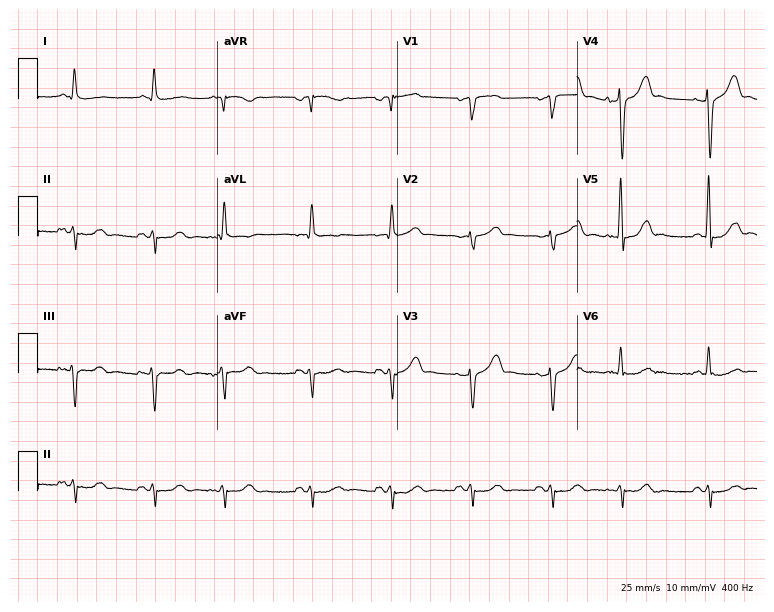
12-lead ECG from a 58-year-old male patient. Screened for six findings — first-degree AV block, right bundle branch block (RBBB), left bundle branch block (LBBB), sinus bradycardia, atrial fibrillation (AF), sinus tachycardia — none is recorded. Findings outside these six are not listed.